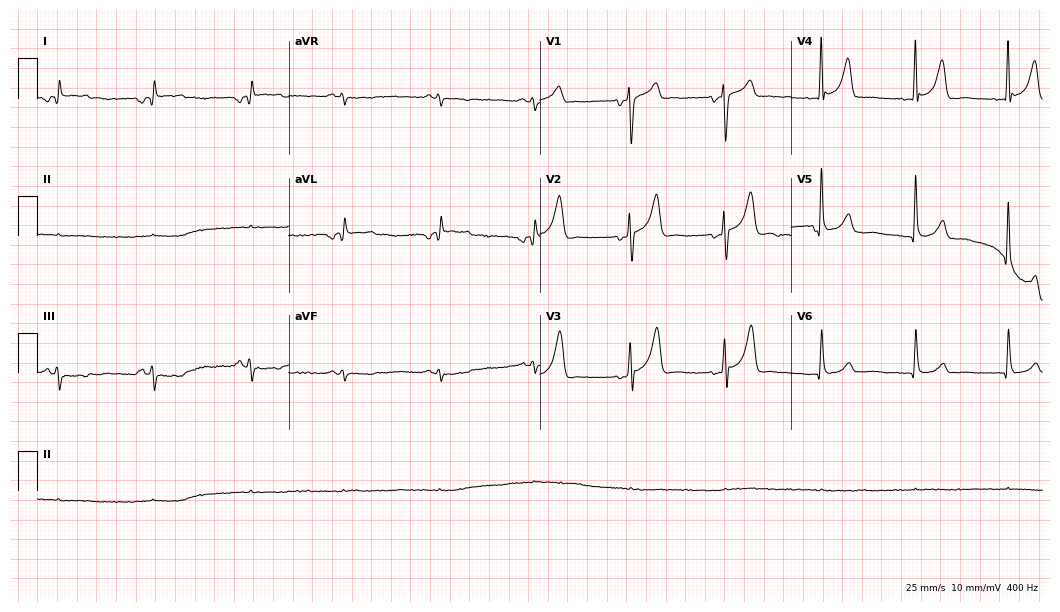
12-lead ECG (10.2-second recording at 400 Hz) from a male patient, 69 years old. Screened for six findings — first-degree AV block, right bundle branch block, left bundle branch block, sinus bradycardia, atrial fibrillation, sinus tachycardia — none is recorded.